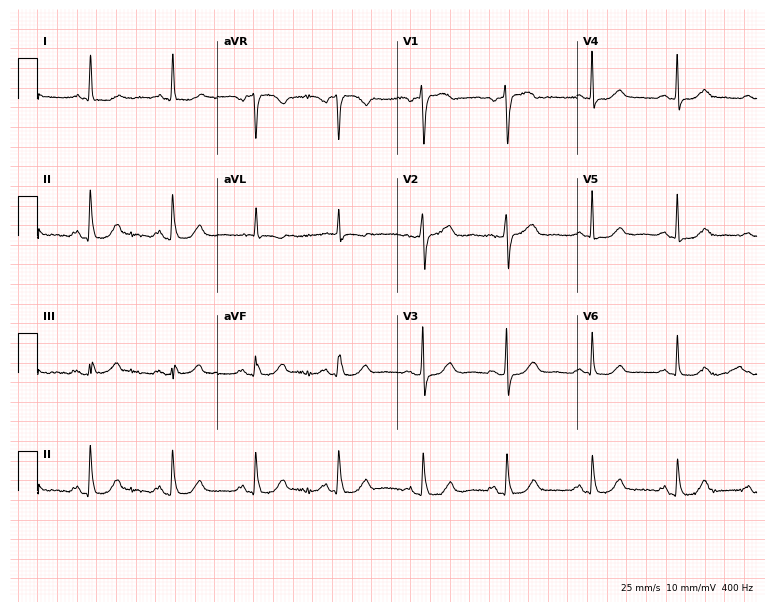
Resting 12-lead electrocardiogram (7.3-second recording at 400 Hz). Patient: a female, 71 years old. Read as a normal ECG.